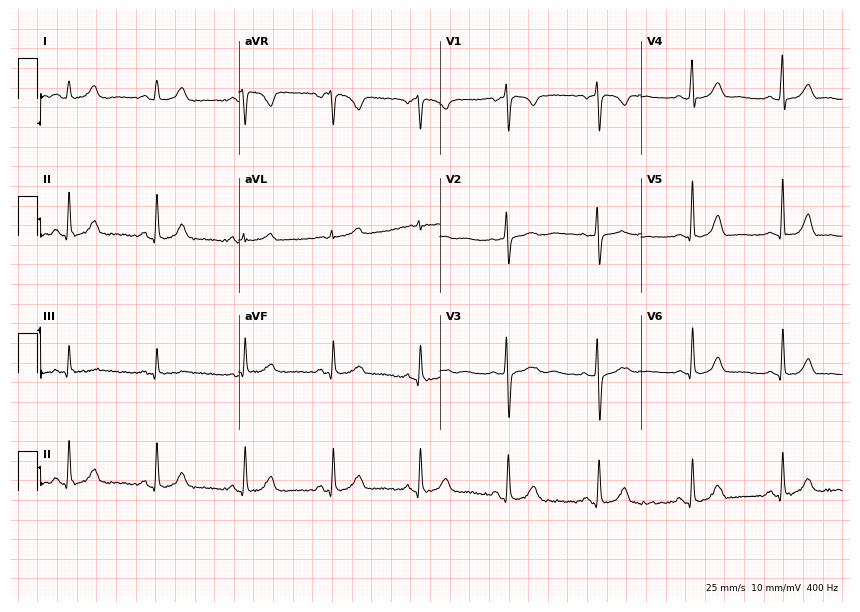
Electrocardiogram (8.2-second recording at 400 Hz), a woman, 31 years old. Of the six screened findings (first-degree AV block, right bundle branch block, left bundle branch block, sinus bradycardia, atrial fibrillation, sinus tachycardia), none is recorded. Other findings, if any, are not listed.